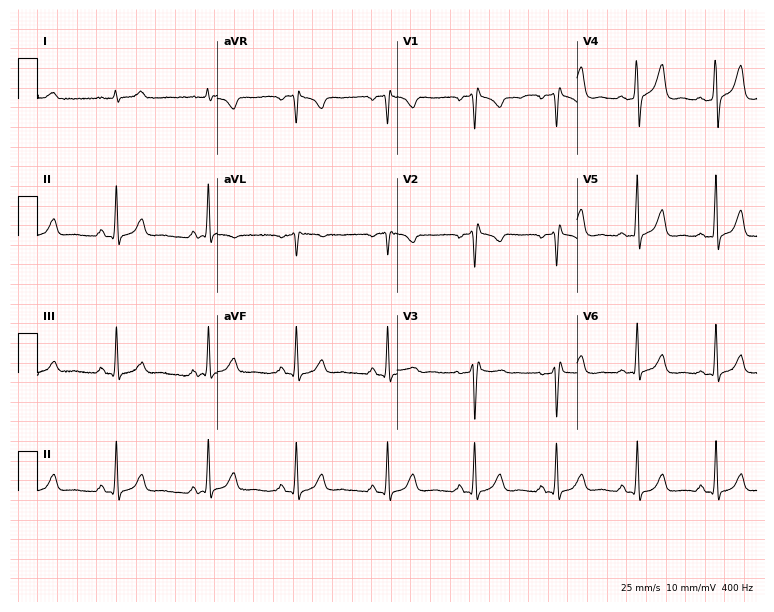
Standard 12-lead ECG recorded from a man, 27 years old. None of these six findings is recorded: first-degree AV block, right bundle branch block, left bundle branch block, sinus bradycardia, atrial fibrillation, sinus tachycardia. Other findings, if any, are not listed.